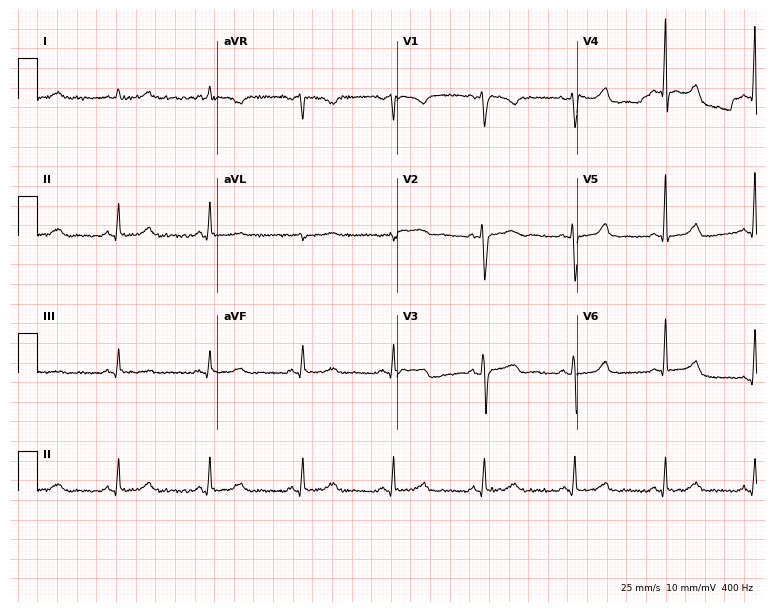
12-lead ECG from a 50-year-old female patient (7.3-second recording at 400 Hz). No first-degree AV block, right bundle branch block, left bundle branch block, sinus bradycardia, atrial fibrillation or sinus tachycardia recorded for this tracing. Other findings, if any, are not listed.